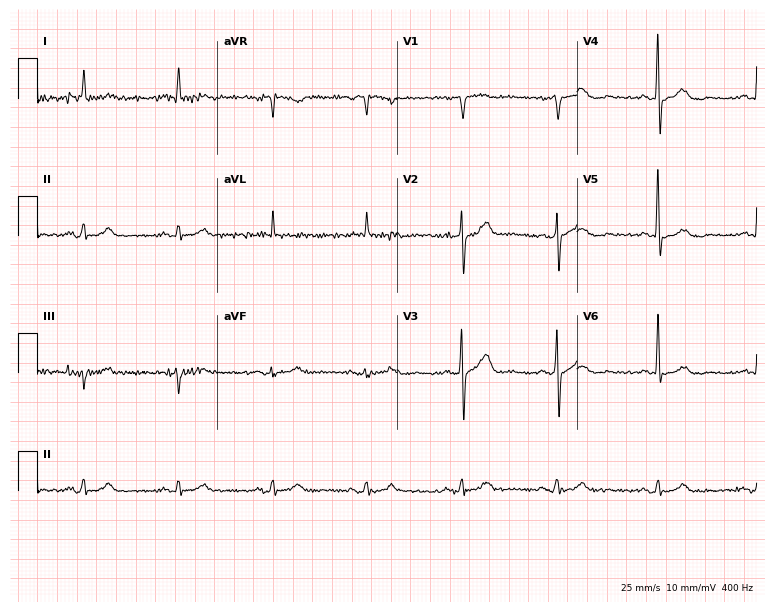
Electrocardiogram, a male patient, 80 years old. Overall reading on record: normal ECG.